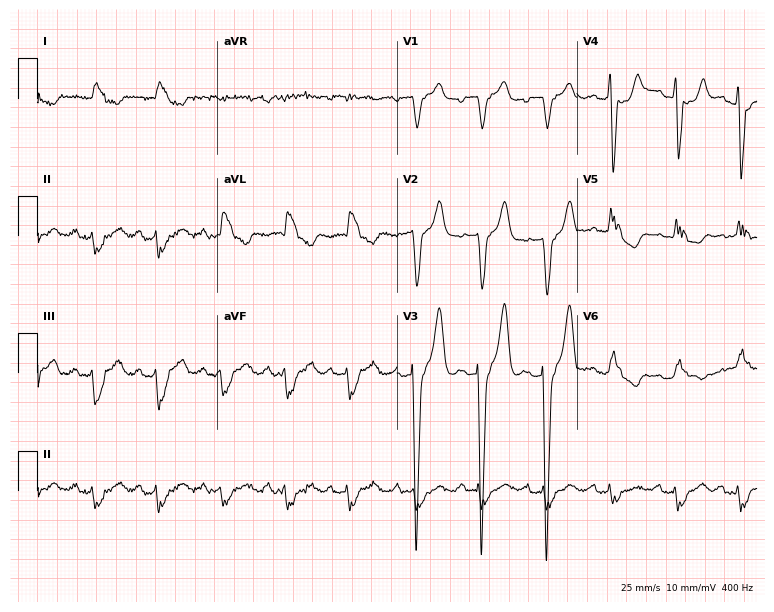
ECG (7.3-second recording at 400 Hz) — an 84-year-old man. Findings include first-degree AV block, left bundle branch block.